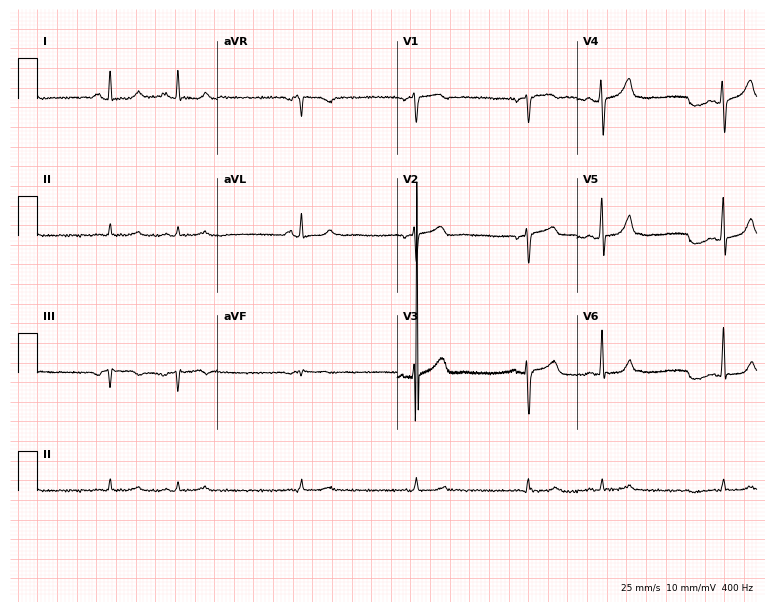
Standard 12-lead ECG recorded from an 83-year-old male (7.3-second recording at 400 Hz). None of these six findings is recorded: first-degree AV block, right bundle branch block, left bundle branch block, sinus bradycardia, atrial fibrillation, sinus tachycardia. Only these six findings were labelled.